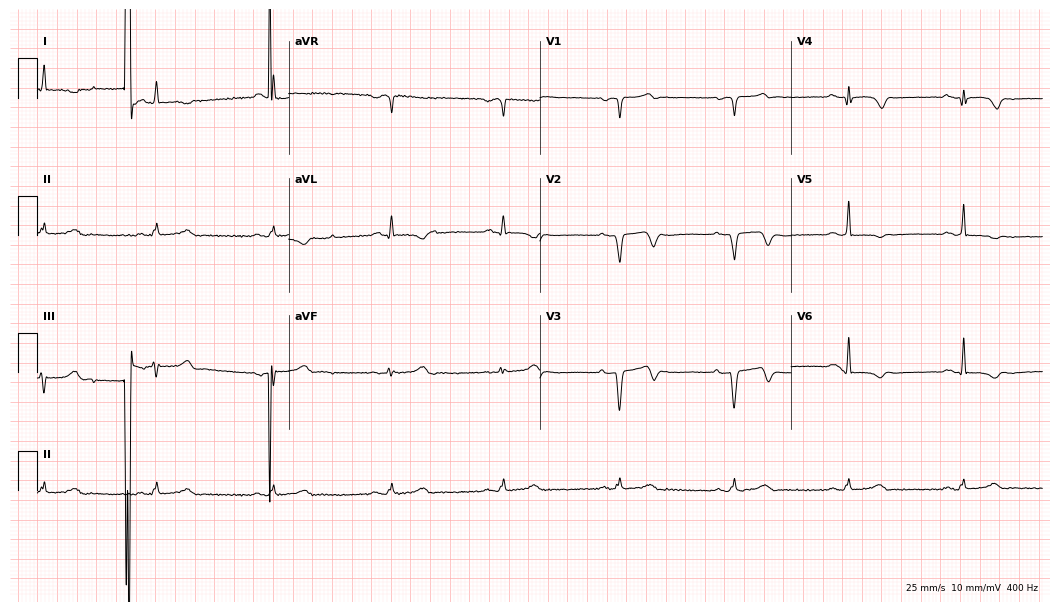
Standard 12-lead ECG recorded from a male patient, 65 years old. None of these six findings is recorded: first-degree AV block, right bundle branch block (RBBB), left bundle branch block (LBBB), sinus bradycardia, atrial fibrillation (AF), sinus tachycardia.